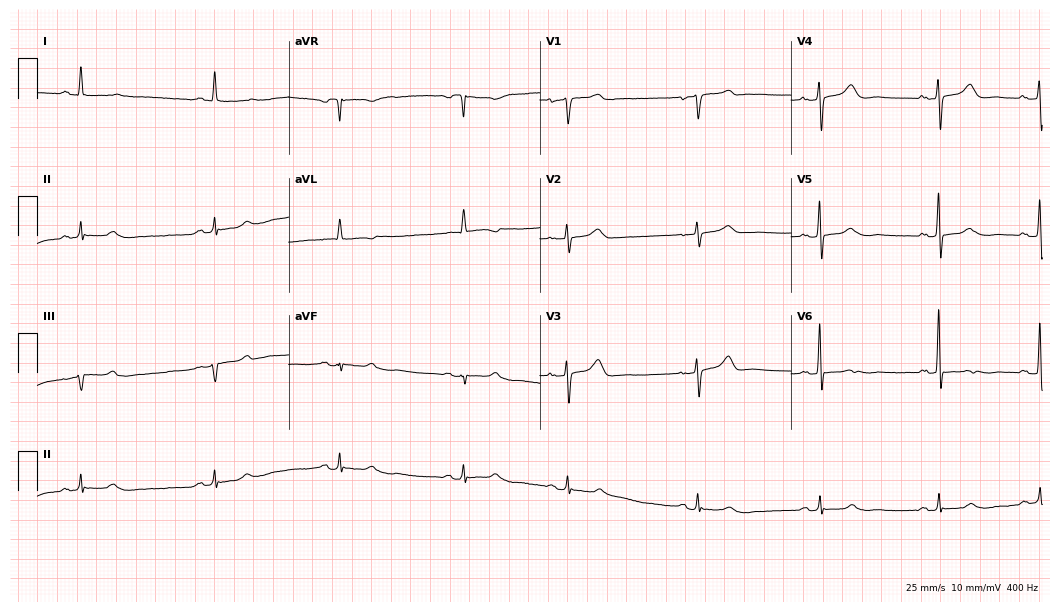
12-lead ECG from a woman, 82 years old. Findings include sinus bradycardia (a sinus rate of 50 beats per minute or less).